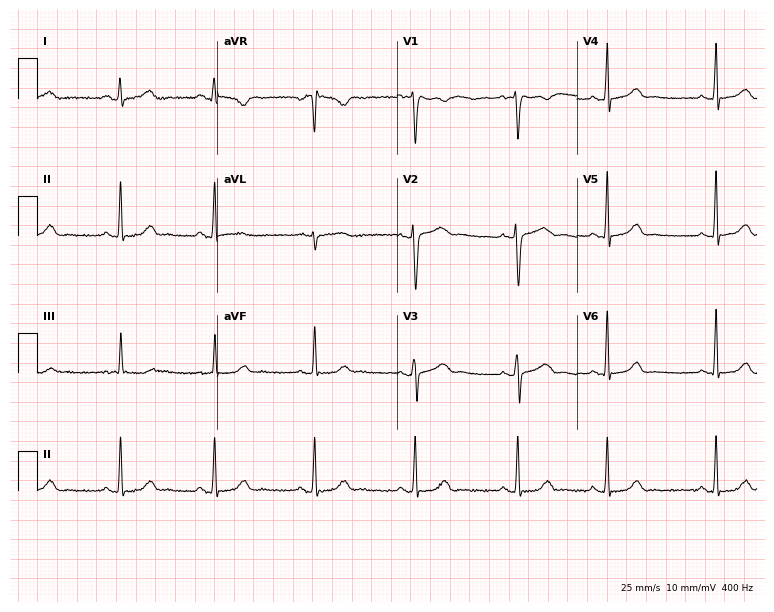
12-lead ECG (7.3-second recording at 400 Hz) from a 20-year-old female patient. Screened for six findings — first-degree AV block, right bundle branch block, left bundle branch block, sinus bradycardia, atrial fibrillation, sinus tachycardia — none is recorded.